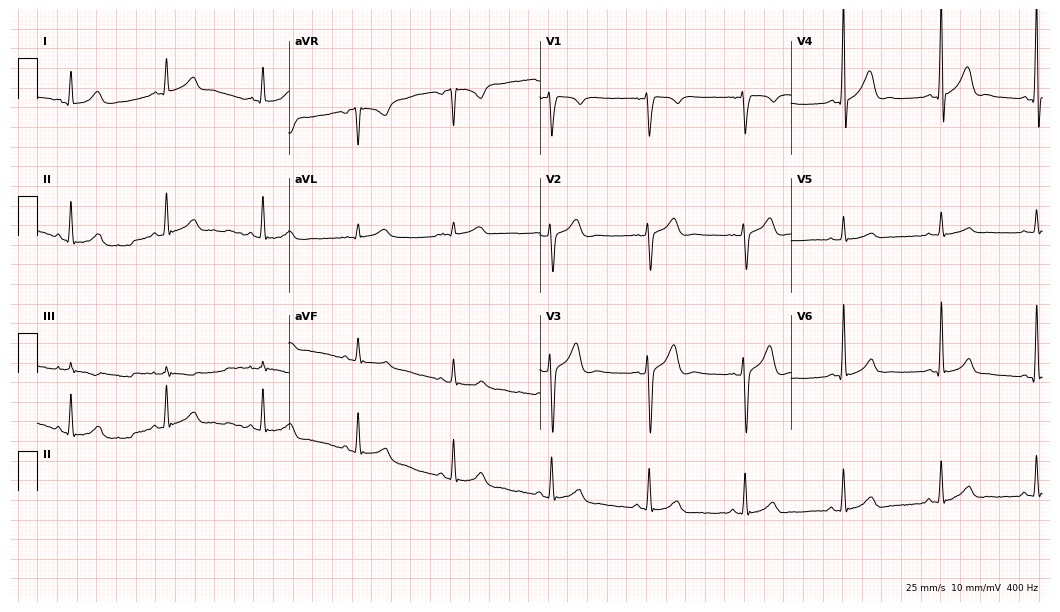
12-lead ECG (10.2-second recording at 400 Hz) from a 25-year-old male patient. Labelled as a normal ECG.